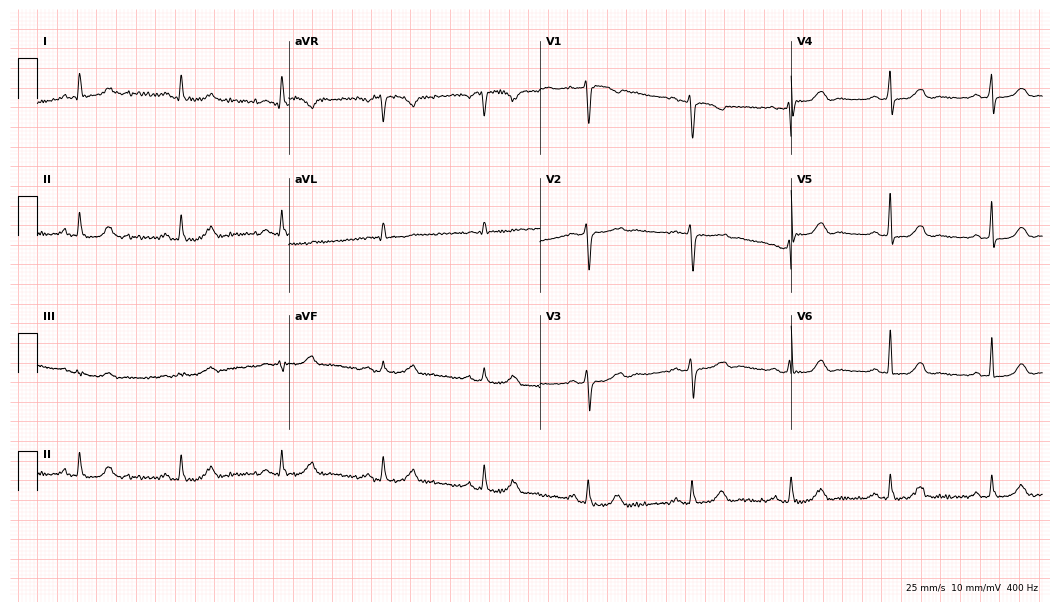
12-lead ECG from a 52-year-old woman. Recorded interpretation: within normal limits.